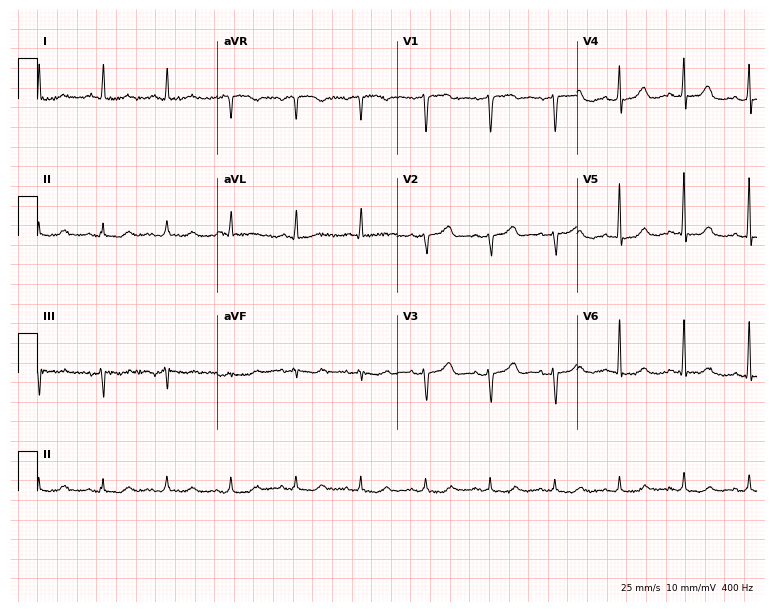
Electrocardiogram, a female patient, 71 years old. Overall reading on record: normal ECG.